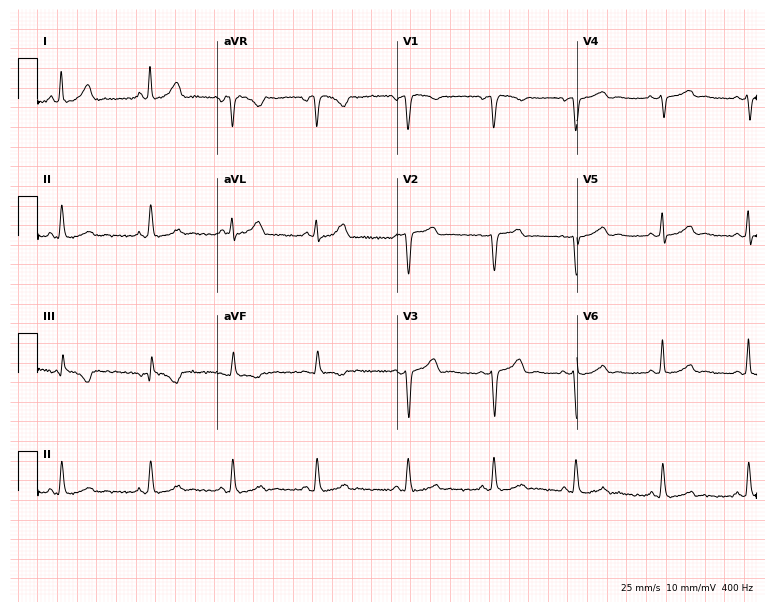
ECG — a female patient, 40 years old. Screened for six findings — first-degree AV block, right bundle branch block, left bundle branch block, sinus bradycardia, atrial fibrillation, sinus tachycardia — none is recorded.